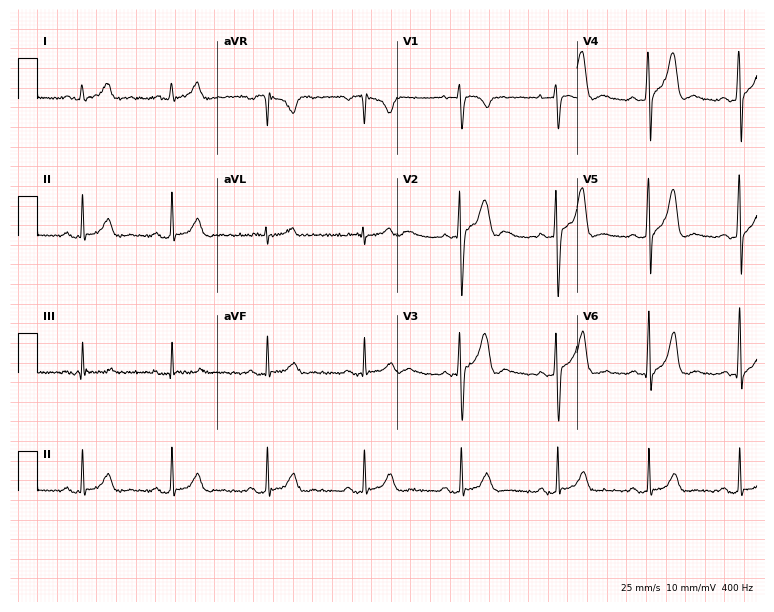
12-lead ECG from a male, 29 years old. No first-degree AV block, right bundle branch block, left bundle branch block, sinus bradycardia, atrial fibrillation or sinus tachycardia recorded for this tracing.